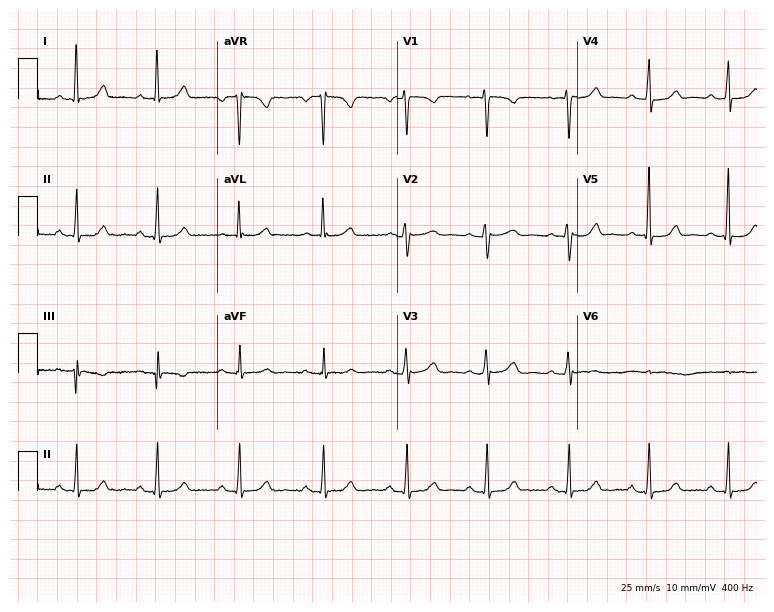
12-lead ECG from a 44-year-old male. Labelled as a normal ECG.